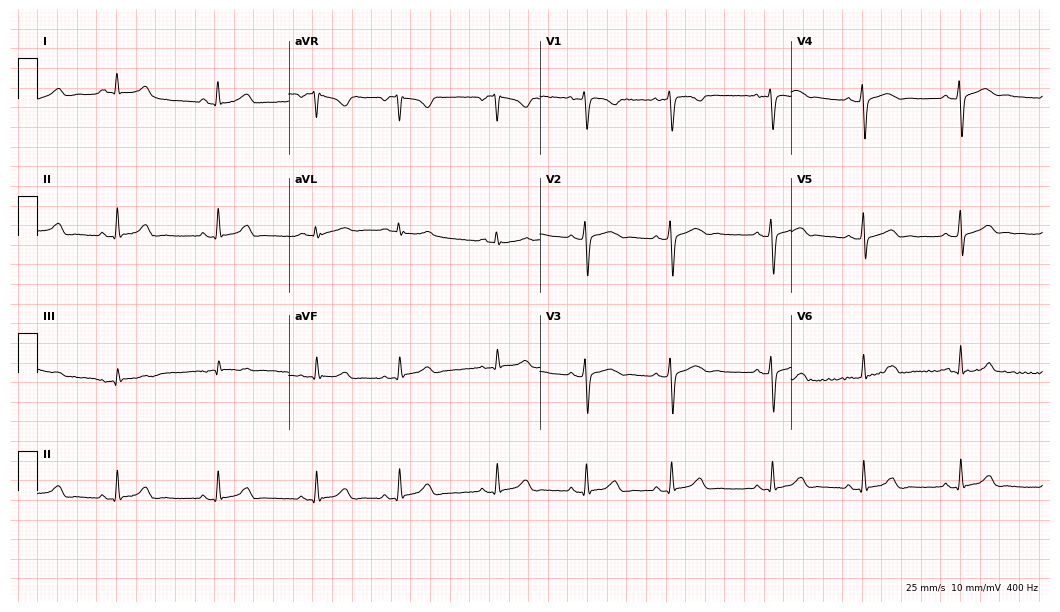
12-lead ECG (10.2-second recording at 400 Hz) from a female patient, 18 years old. Labelled as a normal ECG.